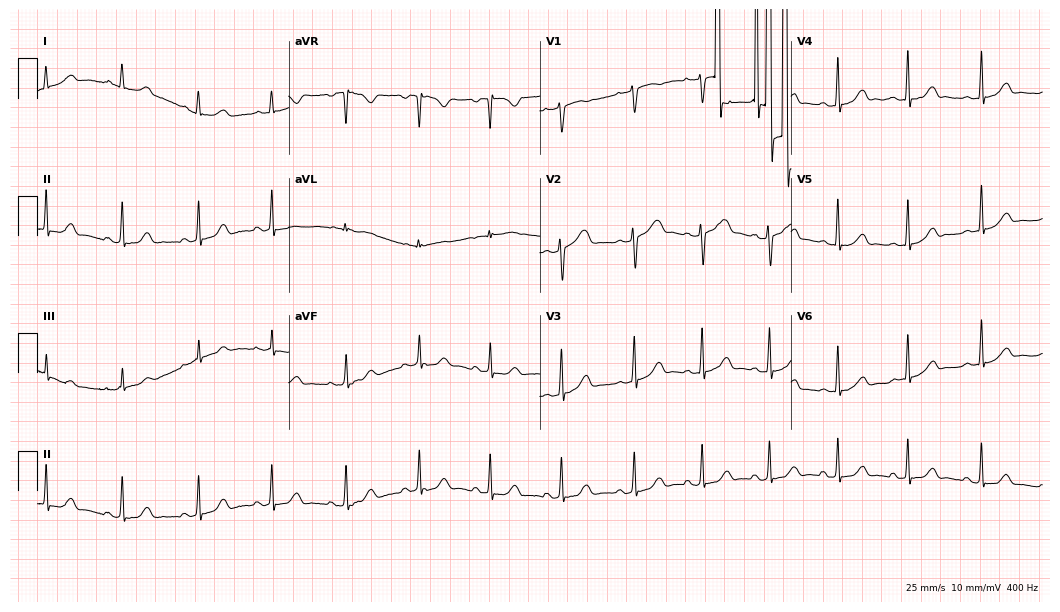
12-lead ECG from a female patient, 36 years old. No first-degree AV block, right bundle branch block, left bundle branch block, sinus bradycardia, atrial fibrillation or sinus tachycardia recorded for this tracing. Other findings, if any, are not listed.